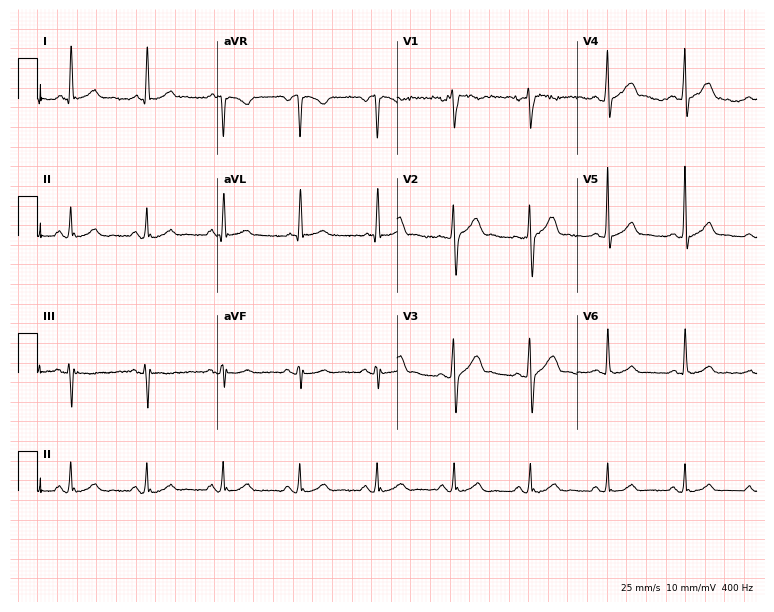
12-lead ECG (7.3-second recording at 400 Hz) from a man, 44 years old. Labelled as a normal ECG.